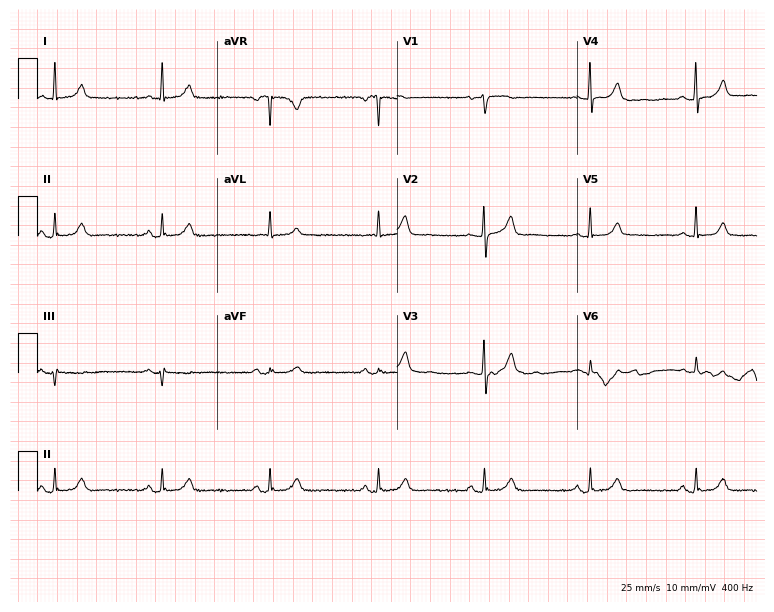
ECG — a woman, 69 years old. Labelled as a normal ECG.